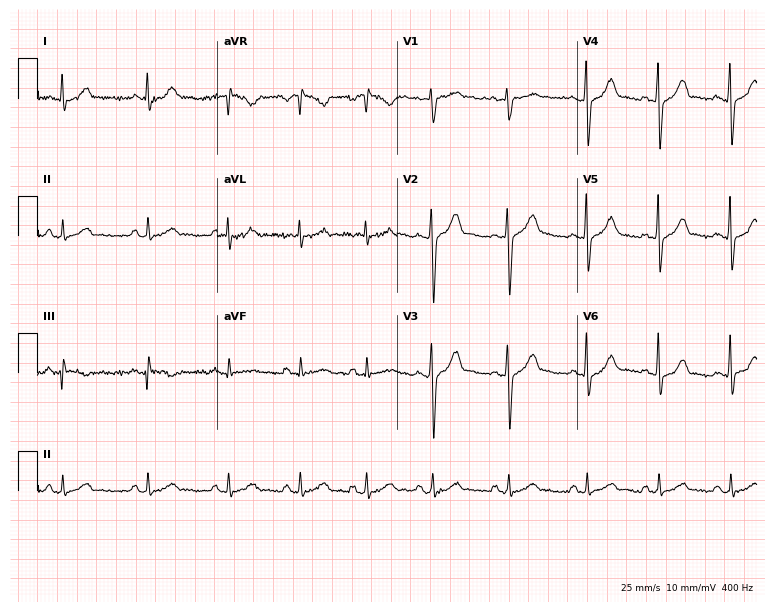
12-lead ECG from a 29-year-old male patient. Recorded interpretation: within normal limits.